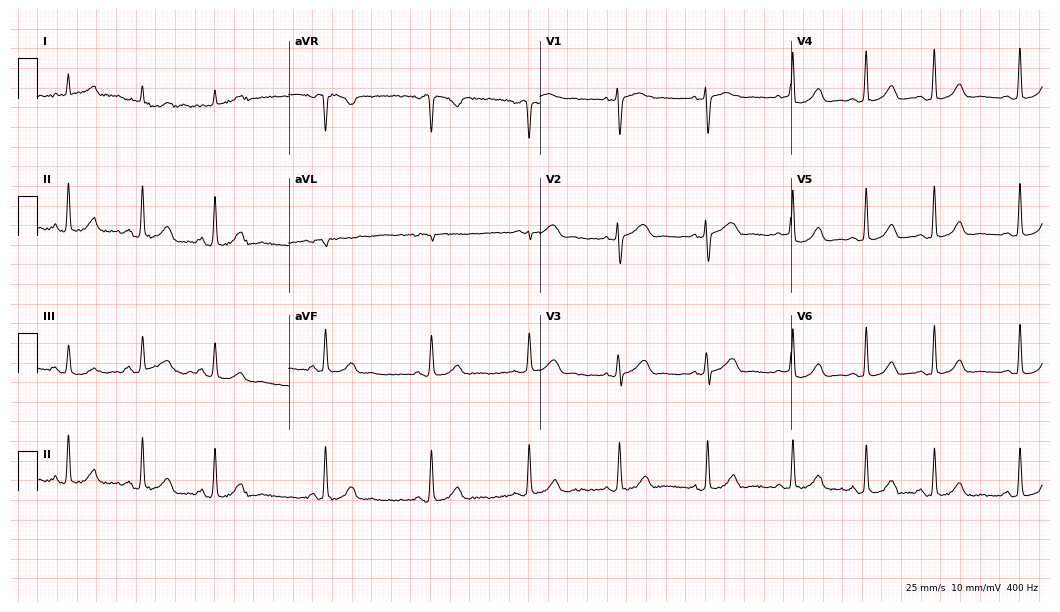
Standard 12-lead ECG recorded from a 27-year-old female. Read as a normal ECG.